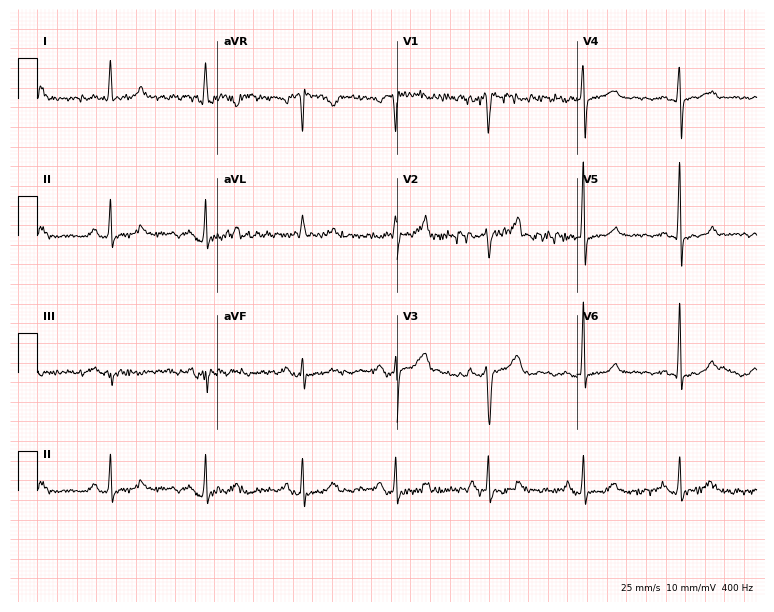
Standard 12-lead ECG recorded from a 54-year-old woman. None of these six findings is recorded: first-degree AV block, right bundle branch block (RBBB), left bundle branch block (LBBB), sinus bradycardia, atrial fibrillation (AF), sinus tachycardia.